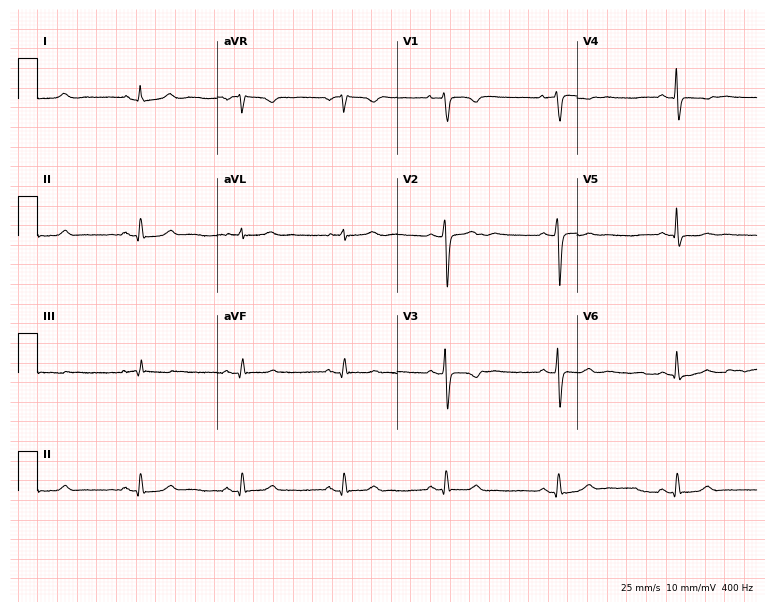
Standard 12-lead ECG recorded from a 38-year-old female patient. Read as a normal ECG.